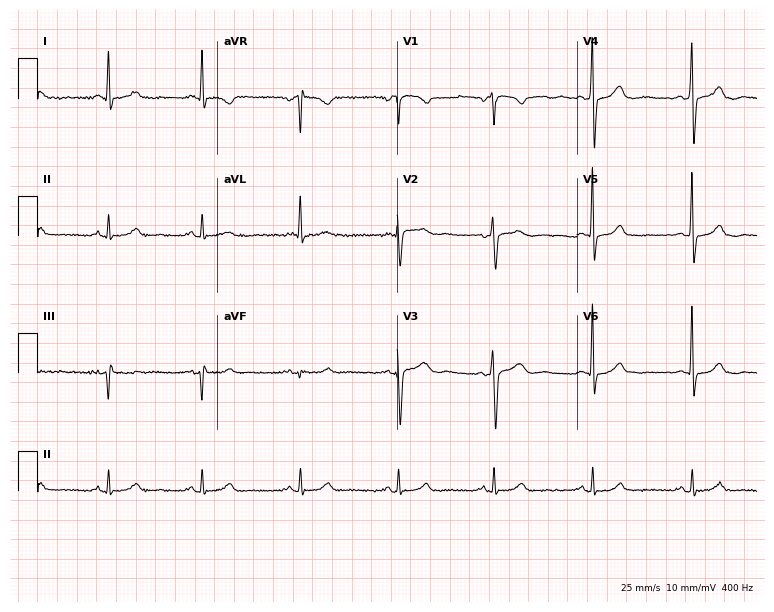
Resting 12-lead electrocardiogram. Patient: a female, 56 years old. None of these six findings is recorded: first-degree AV block, right bundle branch block, left bundle branch block, sinus bradycardia, atrial fibrillation, sinus tachycardia. Findings outside these six are not listed.